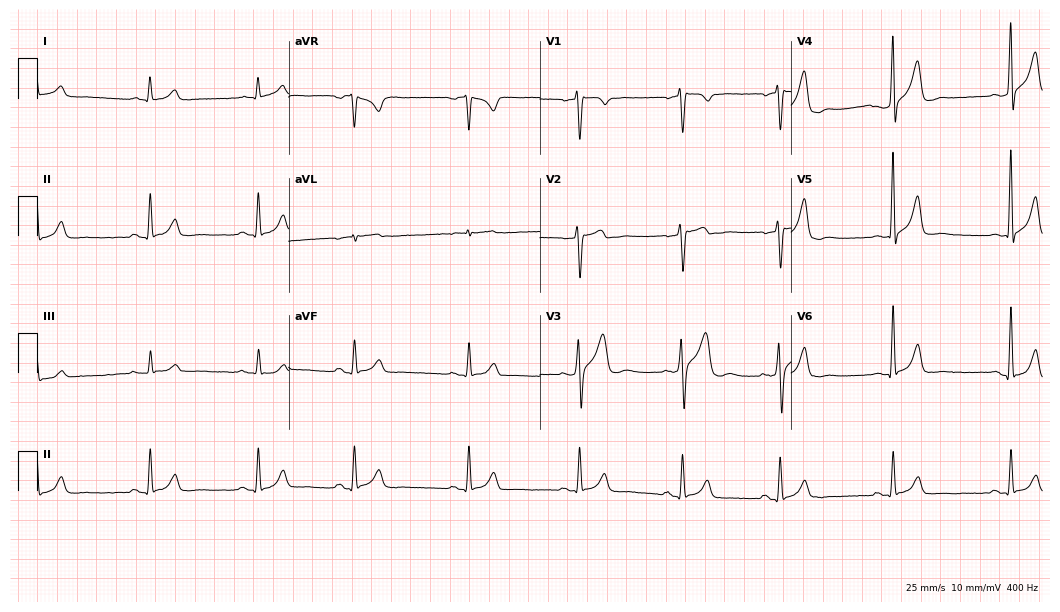
Standard 12-lead ECG recorded from a male, 38 years old. None of these six findings is recorded: first-degree AV block, right bundle branch block, left bundle branch block, sinus bradycardia, atrial fibrillation, sinus tachycardia.